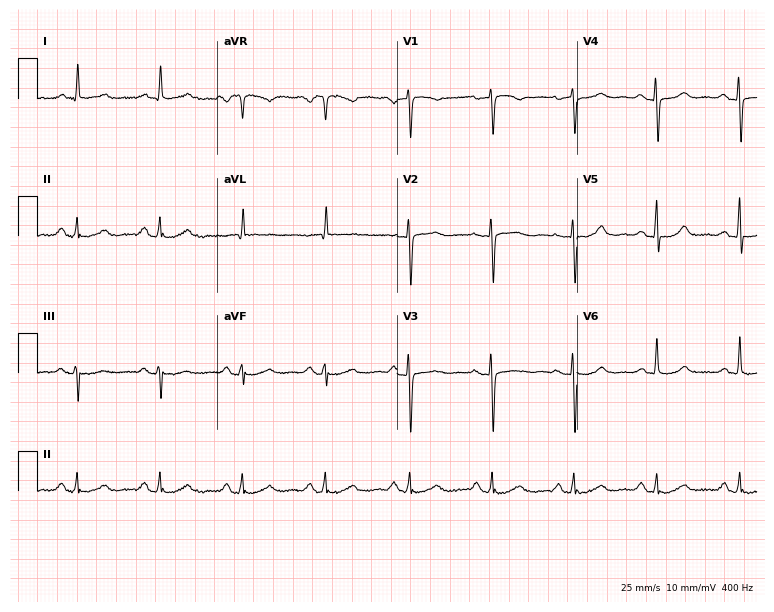
Resting 12-lead electrocardiogram. Patient: a female, 63 years old. Read as a normal ECG.